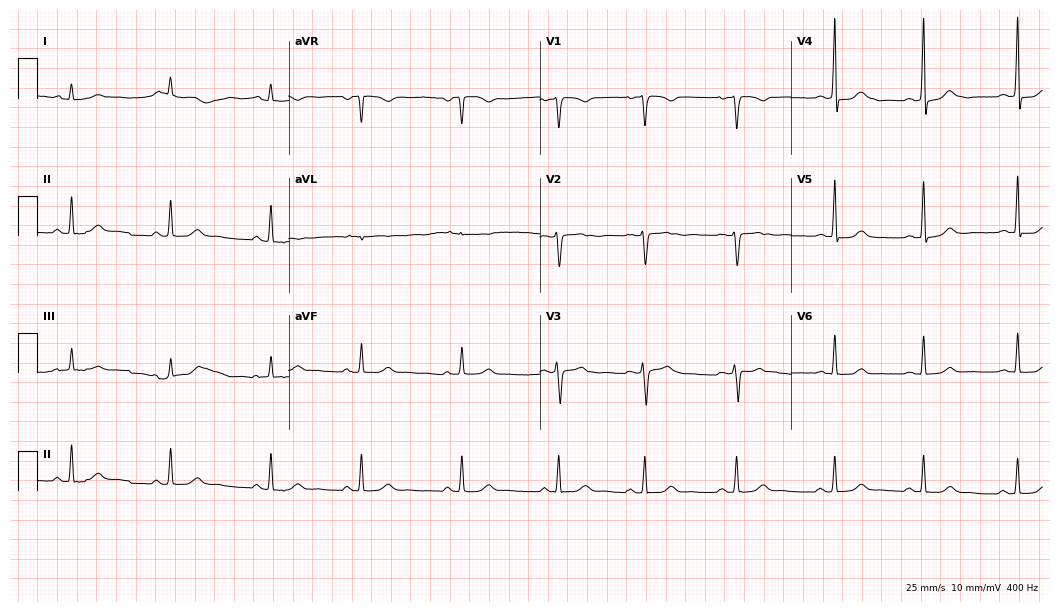
12-lead ECG from a female, 28 years old (10.2-second recording at 400 Hz). No first-degree AV block, right bundle branch block, left bundle branch block, sinus bradycardia, atrial fibrillation or sinus tachycardia recorded for this tracing.